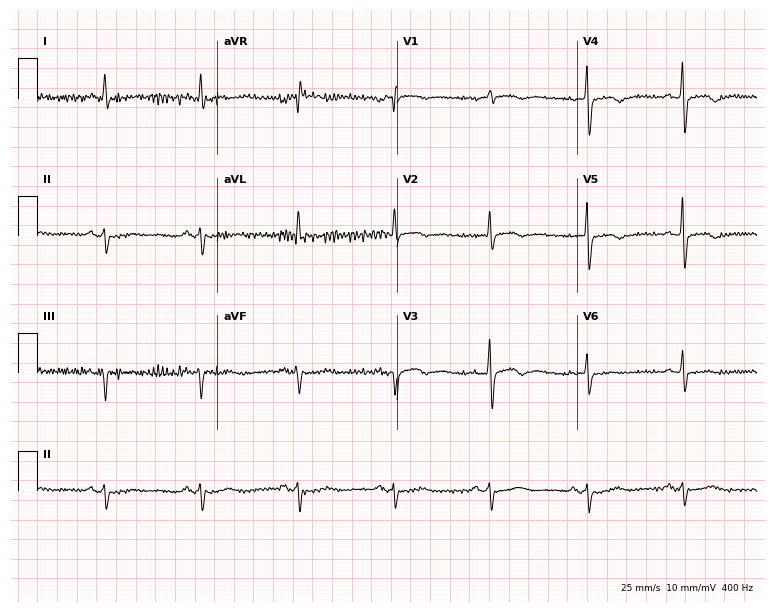
ECG (7.3-second recording at 400 Hz) — a 68-year-old female. Screened for six findings — first-degree AV block, right bundle branch block, left bundle branch block, sinus bradycardia, atrial fibrillation, sinus tachycardia — none is recorded.